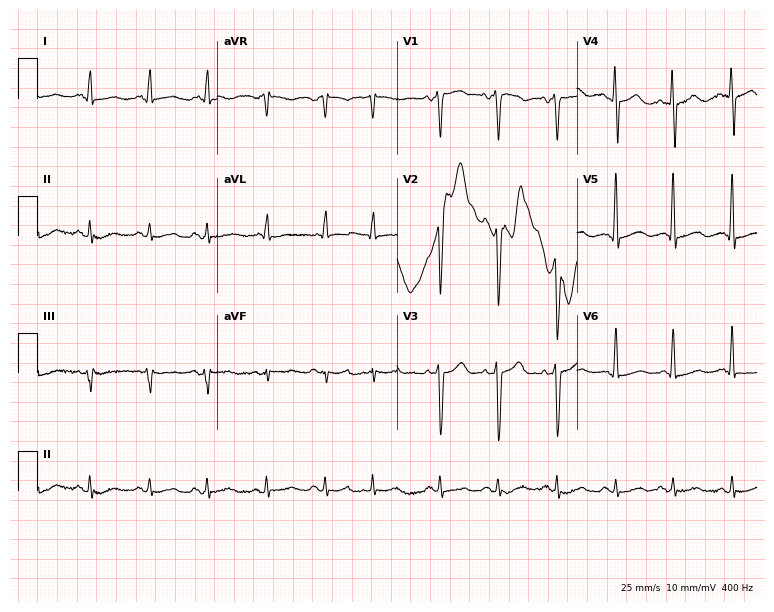
Resting 12-lead electrocardiogram (7.3-second recording at 400 Hz). Patient: a 78-year-old male. The tracing shows sinus tachycardia (a sinus rate of 100 beats per minute or more).